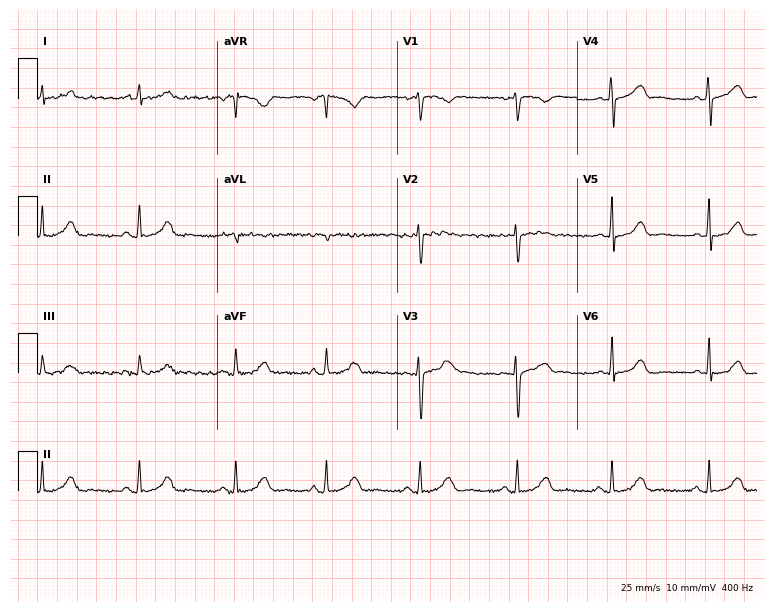
12-lead ECG from a female patient, 45 years old. Recorded interpretation: within normal limits.